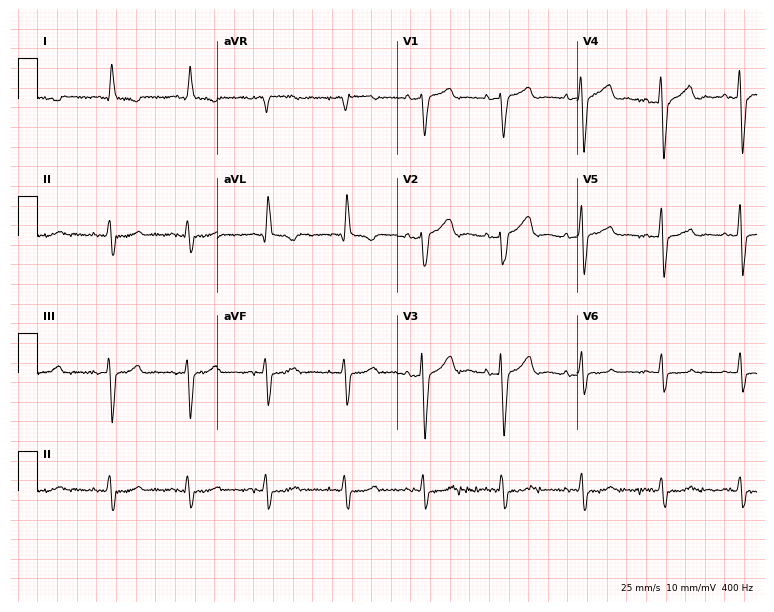
12-lead ECG from a 74-year-old male. Screened for six findings — first-degree AV block, right bundle branch block, left bundle branch block, sinus bradycardia, atrial fibrillation, sinus tachycardia — none is recorded.